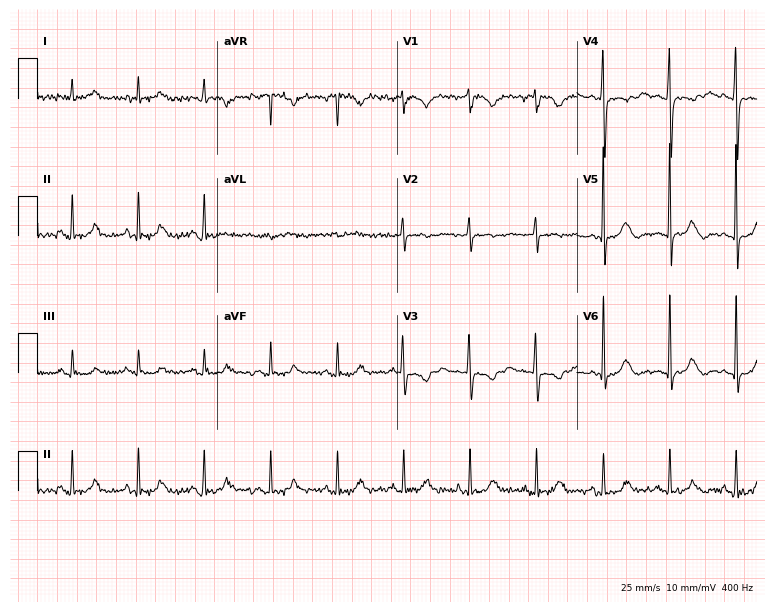
Standard 12-lead ECG recorded from a woman, 50 years old (7.3-second recording at 400 Hz). None of these six findings is recorded: first-degree AV block, right bundle branch block (RBBB), left bundle branch block (LBBB), sinus bradycardia, atrial fibrillation (AF), sinus tachycardia.